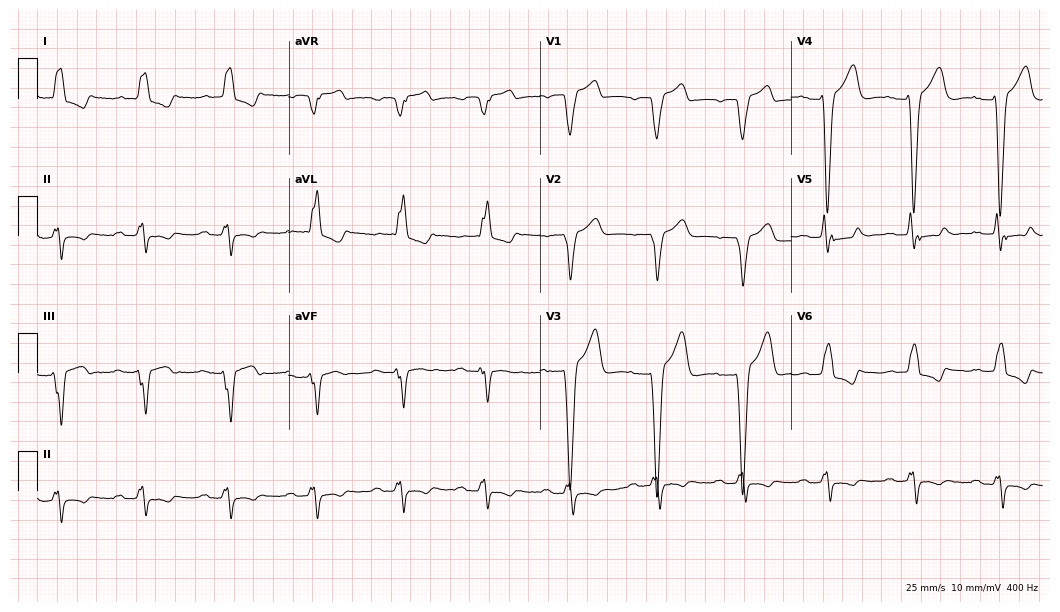
ECG (10.2-second recording at 400 Hz) — a 67-year-old female. Findings include left bundle branch block.